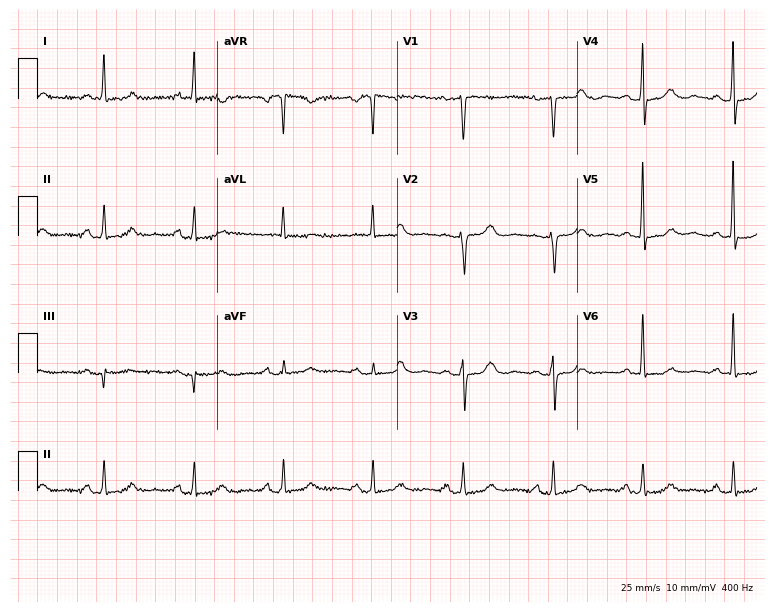
Standard 12-lead ECG recorded from a female patient, 71 years old (7.3-second recording at 400 Hz). None of these six findings is recorded: first-degree AV block, right bundle branch block (RBBB), left bundle branch block (LBBB), sinus bradycardia, atrial fibrillation (AF), sinus tachycardia.